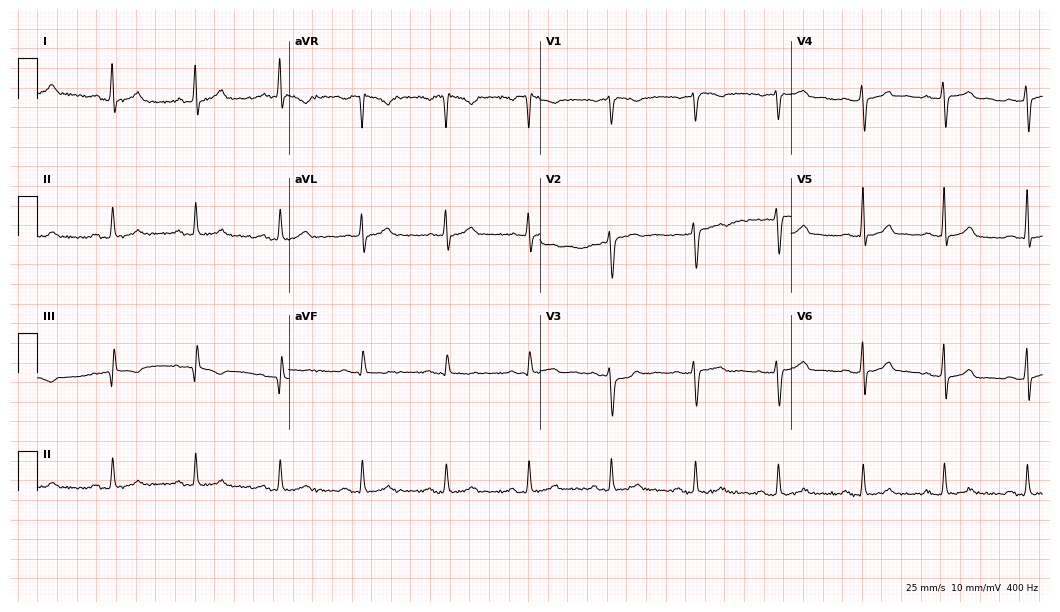
Resting 12-lead electrocardiogram (10.2-second recording at 400 Hz). Patient: a woman, 30 years old. Read as a normal ECG.